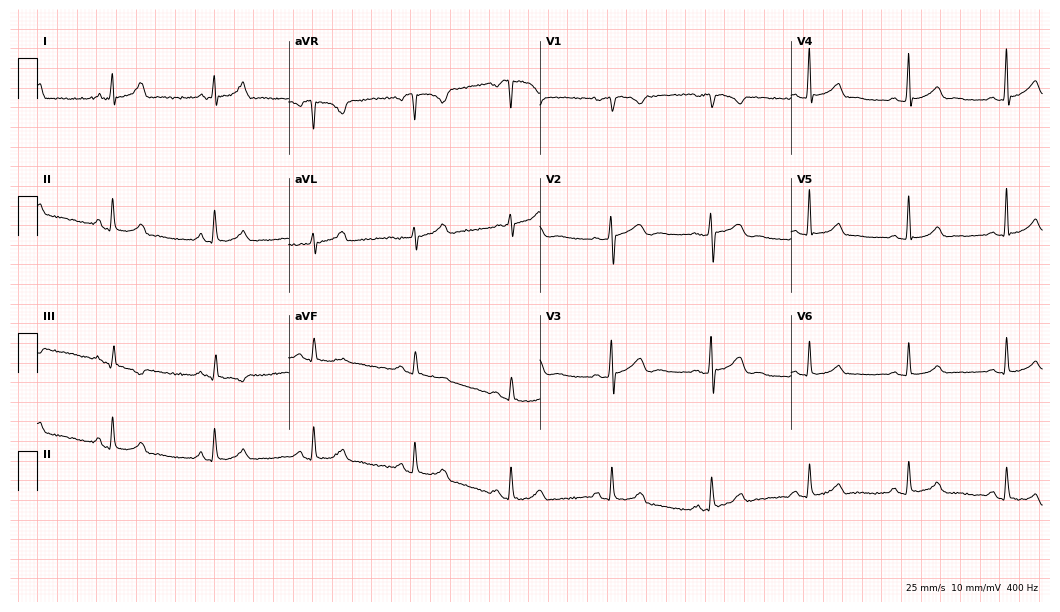
Standard 12-lead ECG recorded from a woman, 40 years old. Read as a normal ECG.